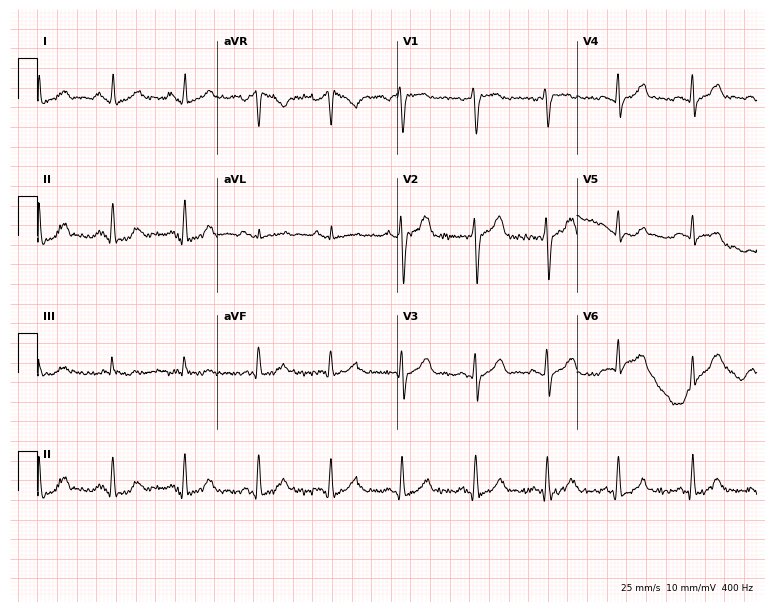
12-lead ECG from a 44-year-old female patient. Recorded interpretation: within normal limits.